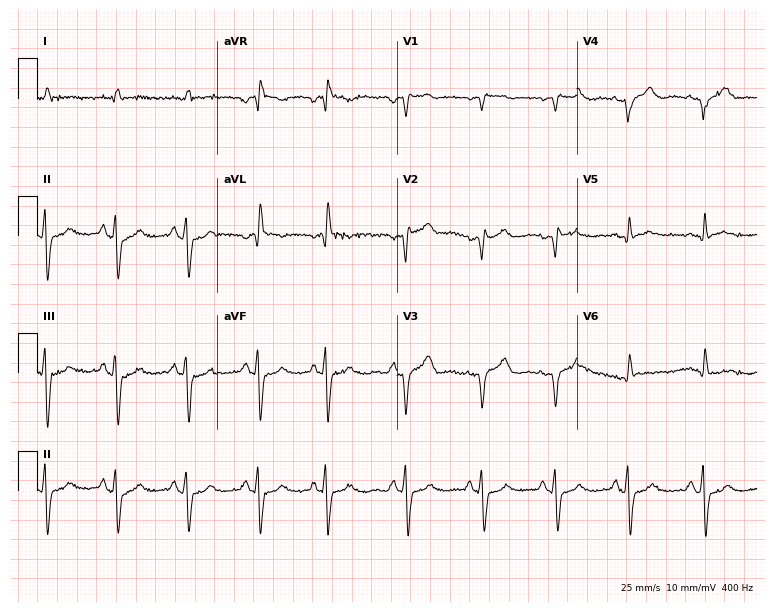
Standard 12-lead ECG recorded from a male patient, 81 years old (7.3-second recording at 400 Hz). None of these six findings is recorded: first-degree AV block, right bundle branch block, left bundle branch block, sinus bradycardia, atrial fibrillation, sinus tachycardia.